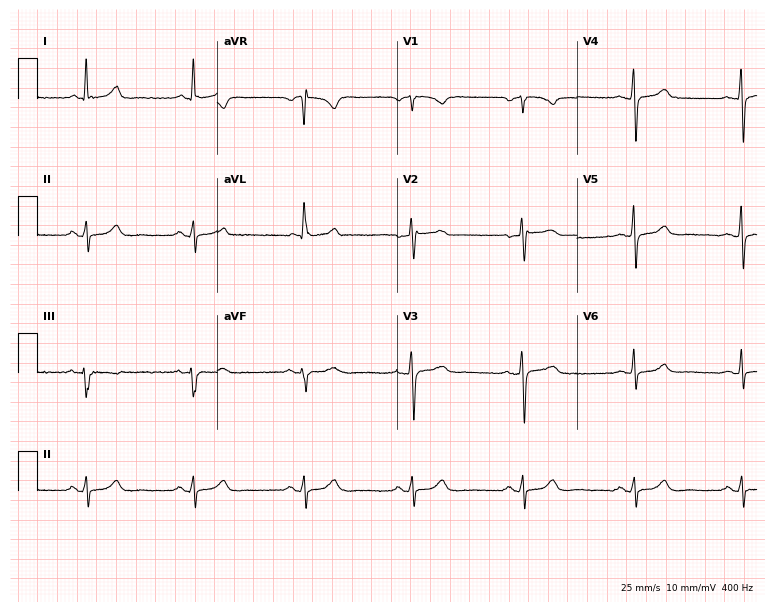
12-lead ECG from a 68-year-old female patient. Screened for six findings — first-degree AV block, right bundle branch block, left bundle branch block, sinus bradycardia, atrial fibrillation, sinus tachycardia — none is recorded.